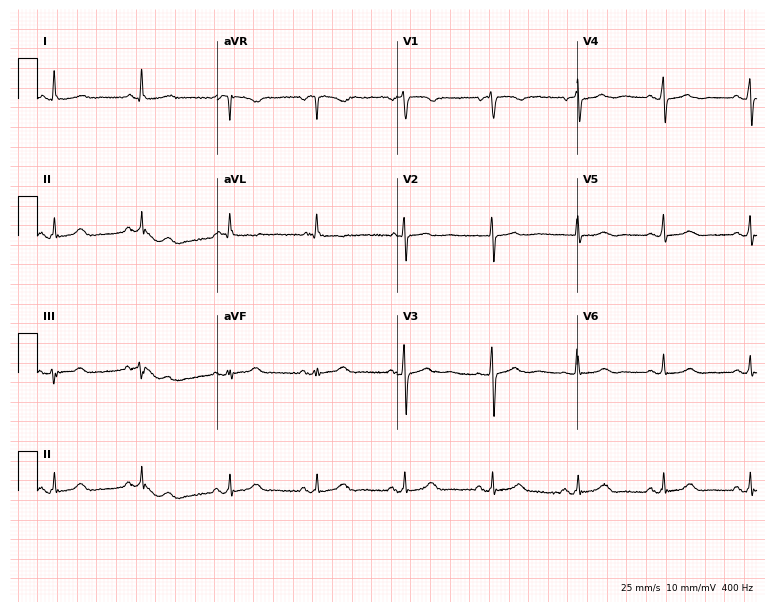
12-lead ECG from an 81-year-old woman. Labelled as a normal ECG.